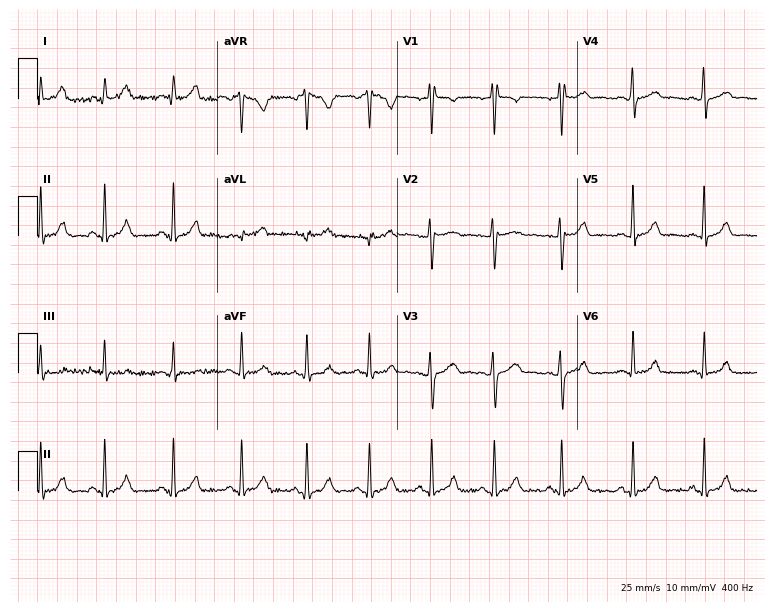
Standard 12-lead ECG recorded from a 19-year-old female patient (7.3-second recording at 400 Hz). None of these six findings is recorded: first-degree AV block, right bundle branch block, left bundle branch block, sinus bradycardia, atrial fibrillation, sinus tachycardia. Other findings, if any, are not listed.